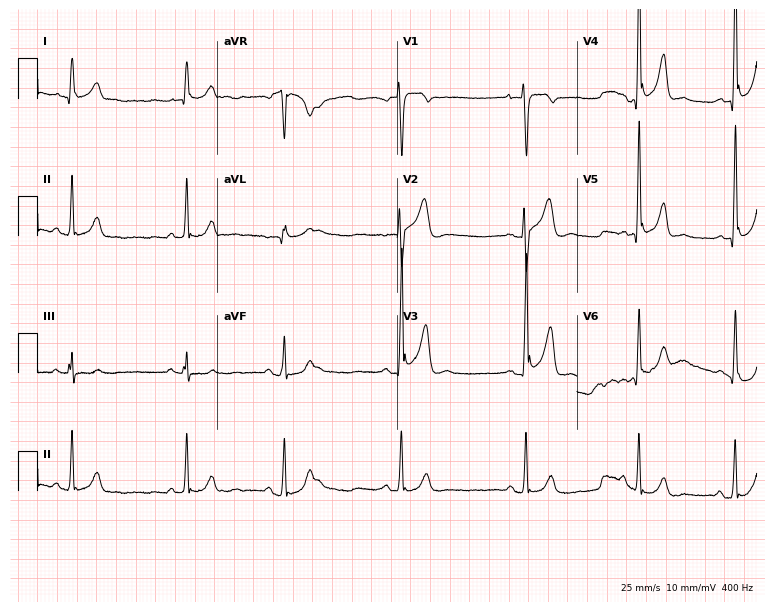
Electrocardiogram (7.3-second recording at 400 Hz), a 21-year-old male. Of the six screened findings (first-degree AV block, right bundle branch block (RBBB), left bundle branch block (LBBB), sinus bradycardia, atrial fibrillation (AF), sinus tachycardia), none is recorded.